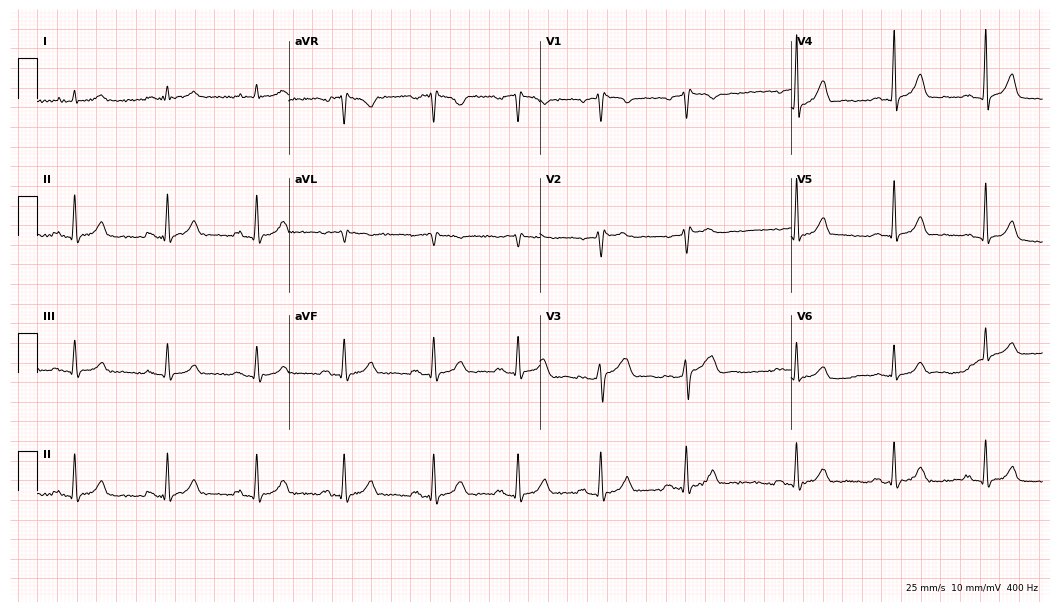
ECG — a 55-year-old male patient. Screened for six findings — first-degree AV block, right bundle branch block, left bundle branch block, sinus bradycardia, atrial fibrillation, sinus tachycardia — none is recorded.